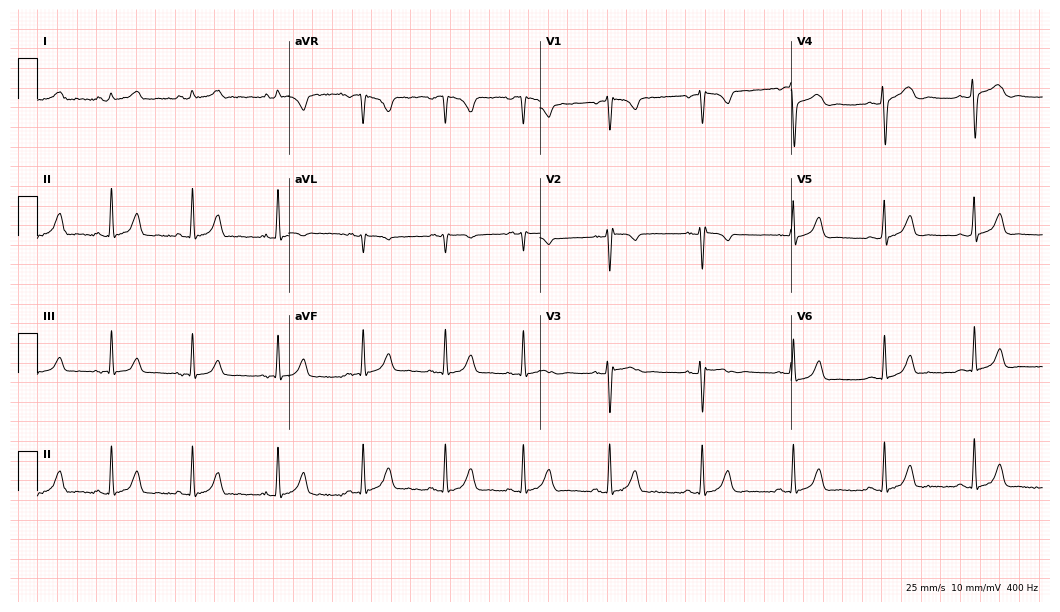
Standard 12-lead ECG recorded from a 17-year-old female patient (10.2-second recording at 400 Hz). Read as a normal ECG.